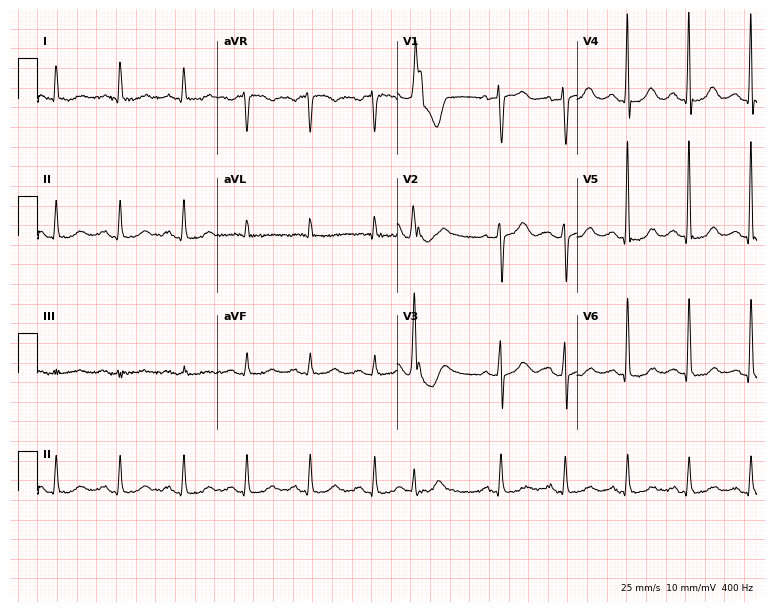
12-lead ECG from an 80-year-old woman. No first-degree AV block, right bundle branch block (RBBB), left bundle branch block (LBBB), sinus bradycardia, atrial fibrillation (AF) or sinus tachycardia recorded for this tracing.